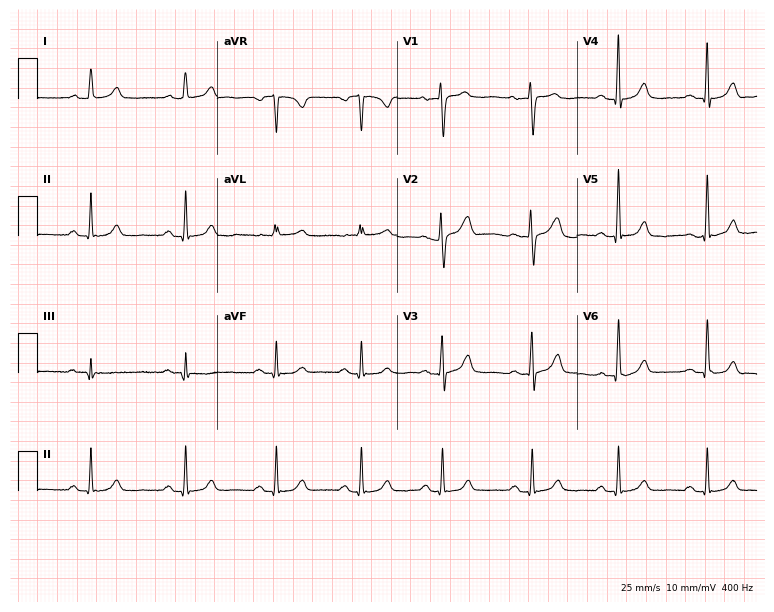
Electrocardiogram (7.3-second recording at 400 Hz), a female patient, 55 years old. Overall reading on record: normal ECG.